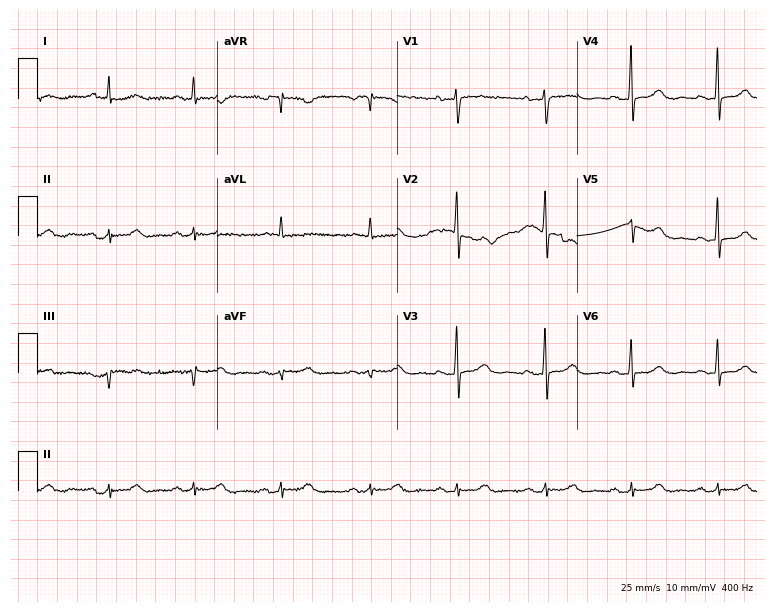
12-lead ECG from a female patient, 57 years old. Recorded interpretation: within normal limits.